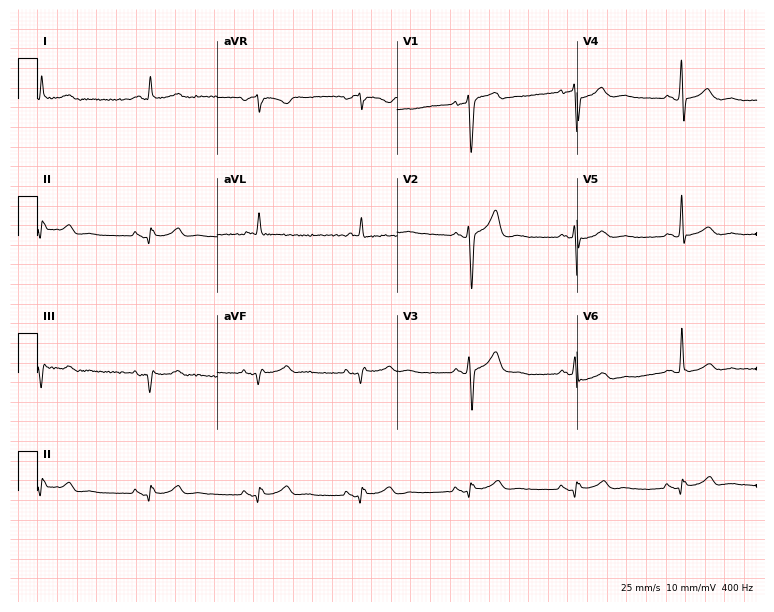
Standard 12-lead ECG recorded from a 68-year-old male. None of these six findings is recorded: first-degree AV block, right bundle branch block, left bundle branch block, sinus bradycardia, atrial fibrillation, sinus tachycardia.